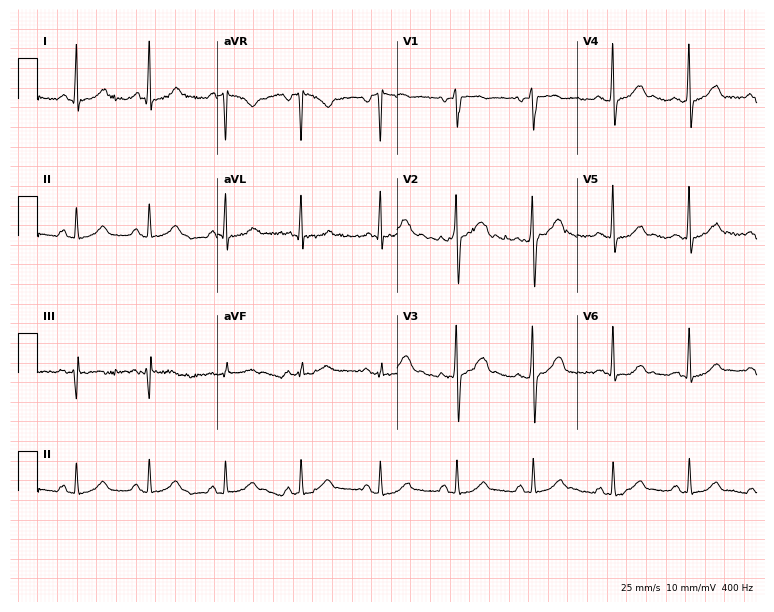
ECG (7.3-second recording at 400 Hz) — a 34-year-old female. Labelled as a normal ECG.